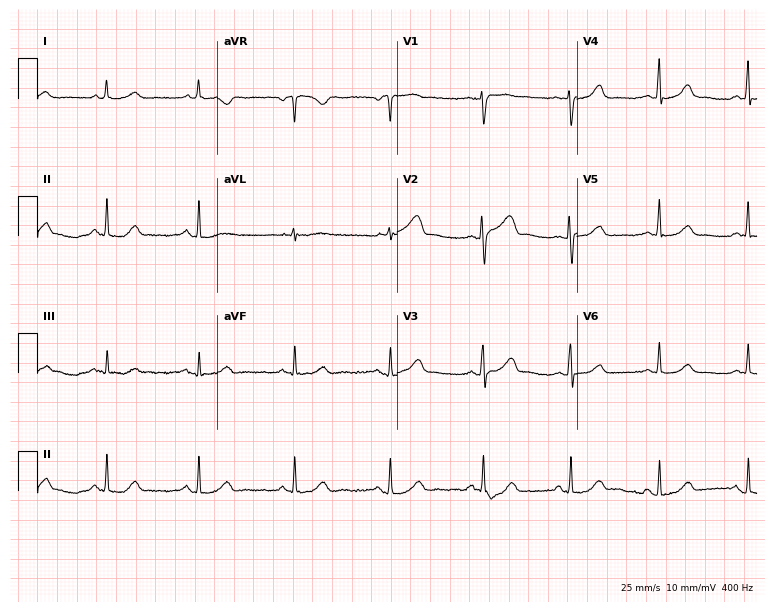
Resting 12-lead electrocardiogram (7.3-second recording at 400 Hz). Patient: a 51-year-old woman. Read as a normal ECG.